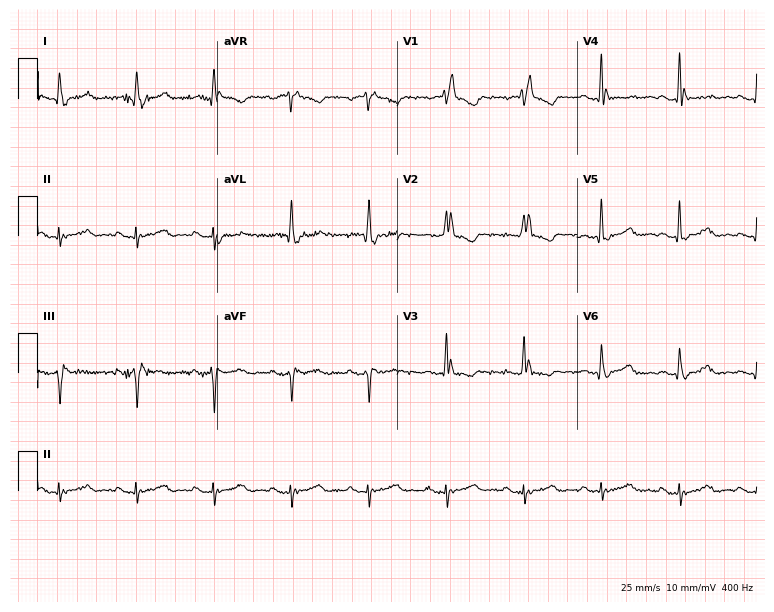
Standard 12-lead ECG recorded from a woman, 84 years old (7.3-second recording at 400 Hz). The tracing shows right bundle branch block.